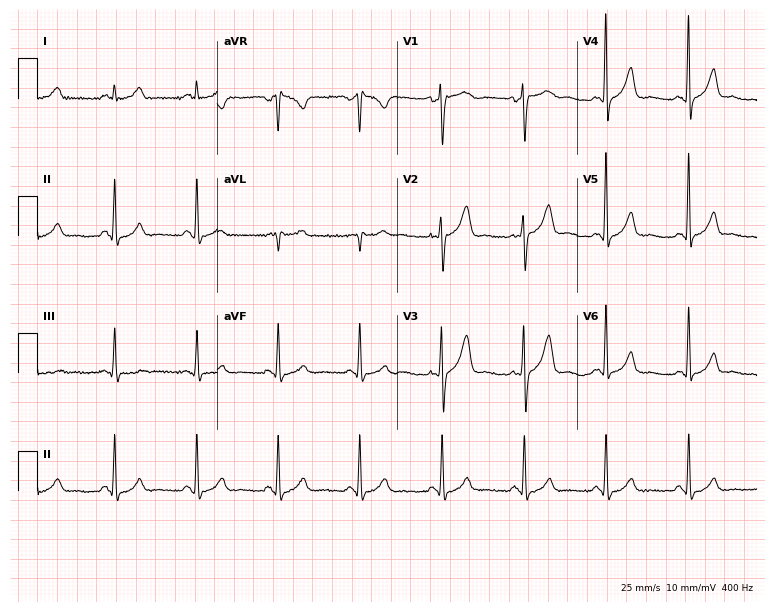
ECG (7.3-second recording at 400 Hz) — a male patient, 58 years old. Labelled as a normal ECG.